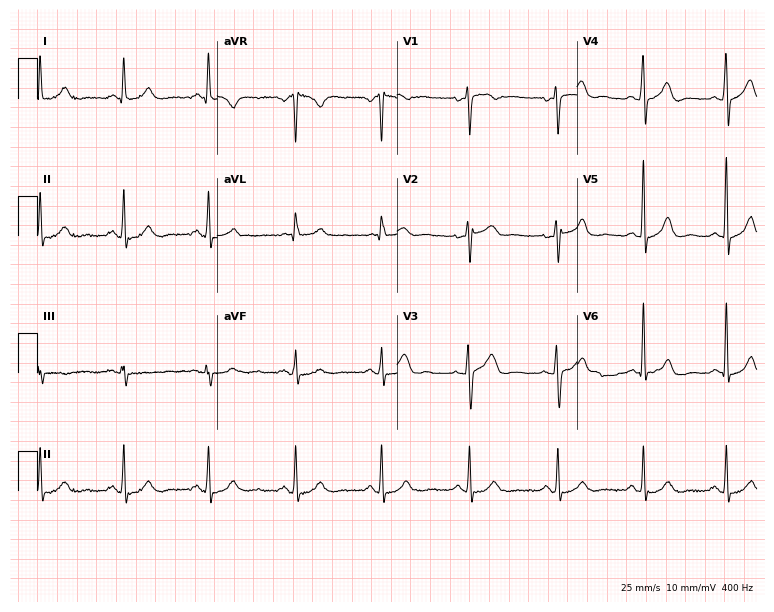
Electrocardiogram, a woman, 52 years old. Overall reading on record: normal ECG.